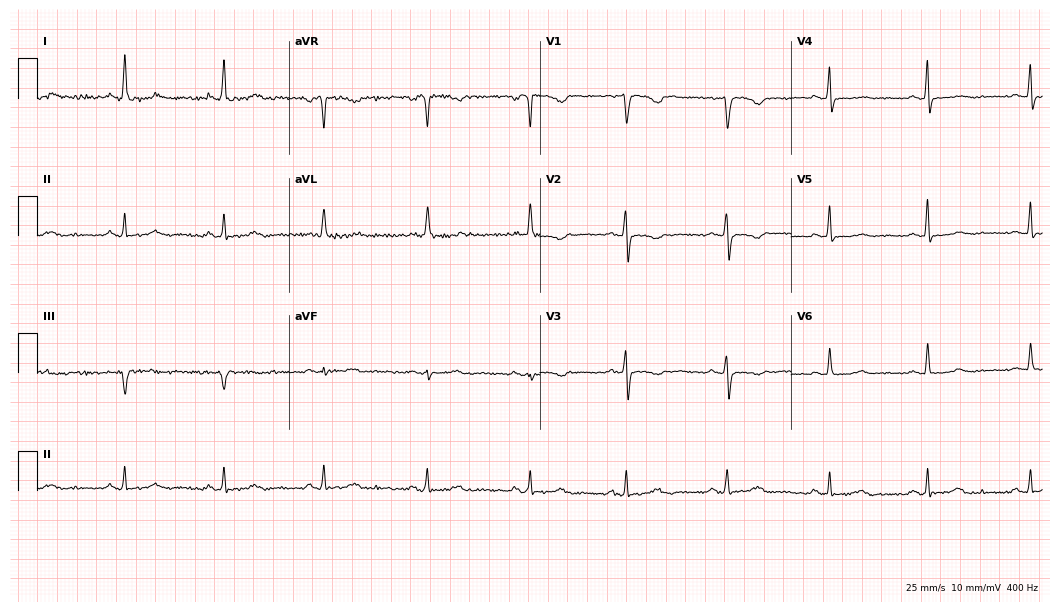
Electrocardiogram (10.2-second recording at 400 Hz), a 57-year-old woman. Of the six screened findings (first-degree AV block, right bundle branch block (RBBB), left bundle branch block (LBBB), sinus bradycardia, atrial fibrillation (AF), sinus tachycardia), none is recorded. Only these six findings were labelled.